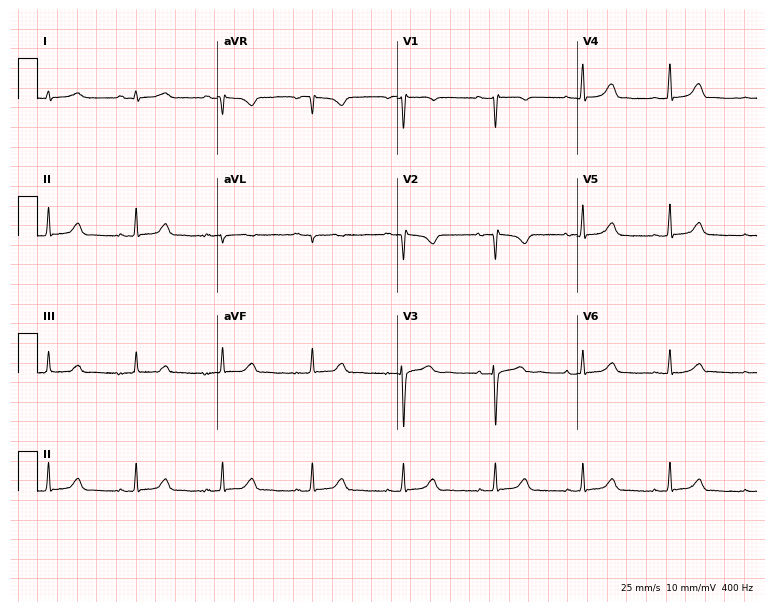
Standard 12-lead ECG recorded from a 43-year-old woman (7.3-second recording at 400 Hz). None of these six findings is recorded: first-degree AV block, right bundle branch block (RBBB), left bundle branch block (LBBB), sinus bradycardia, atrial fibrillation (AF), sinus tachycardia. Only these six findings were labelled.